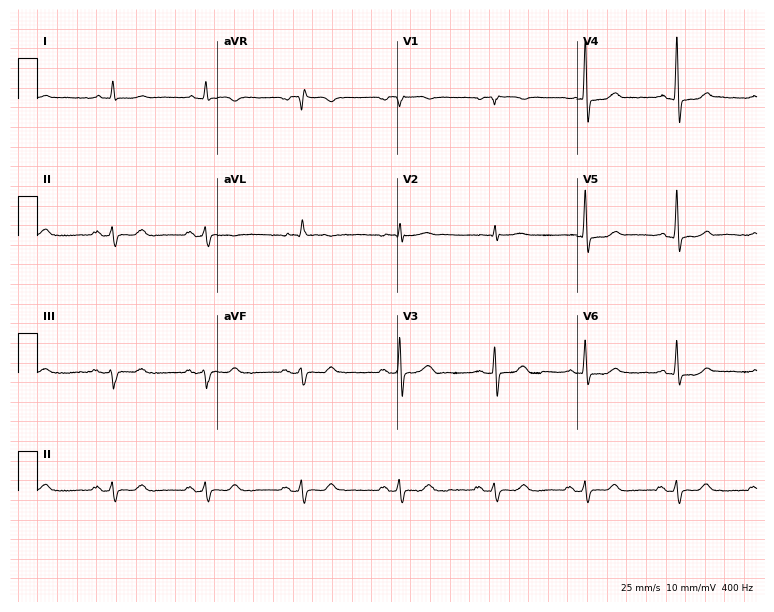
Standard 12-lead ECG recorded from a 78-year-old man (7.3-second recording at 400 Hz). None of these six findings is recorded: first-degree AV block, right bundle branch block, left bundle branch block, sinus bradycardia, atrial fibrillation, sinus tachycardia. Only these six findings were labelled.